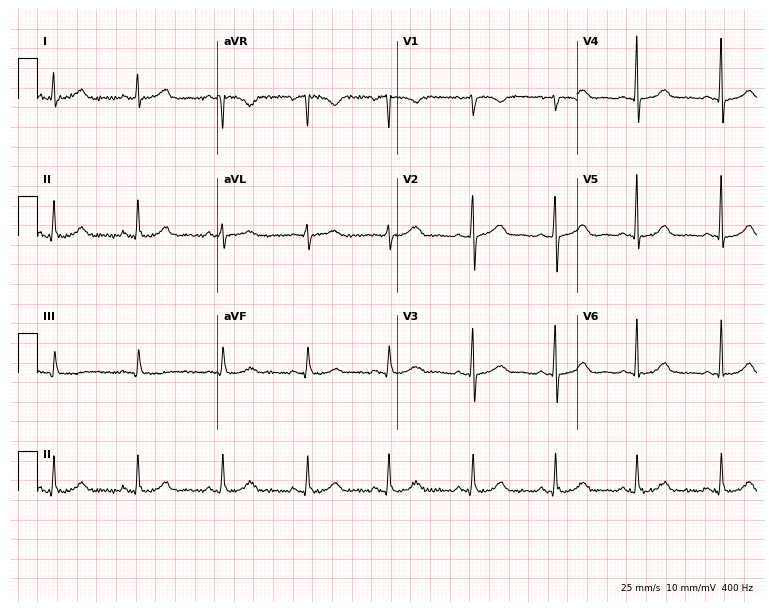
Electrocardiogram (7.3-second recording at 400 Hz), a 45-year-old female. Overall reading on record: normal ECG.